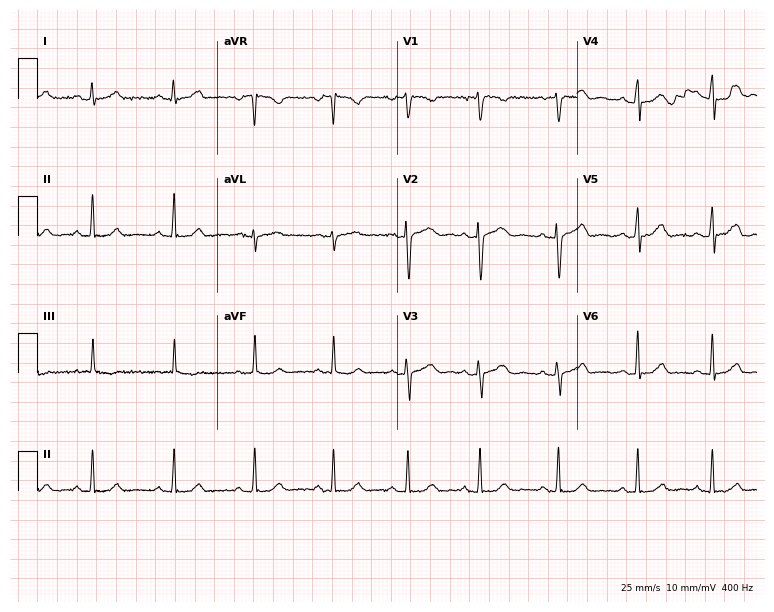
Resting 12-lead electrocardiogram. Patient: a 21-year-old woman. Read as a normal ECG.